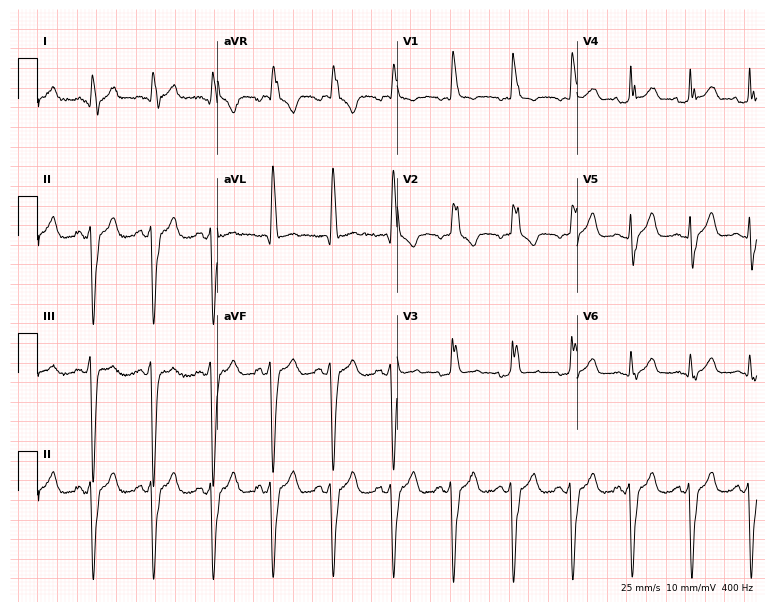
Resting 12-lead electrocardiogram. Patient: a female, 51 years old. The tracing shows right bundle branch block.